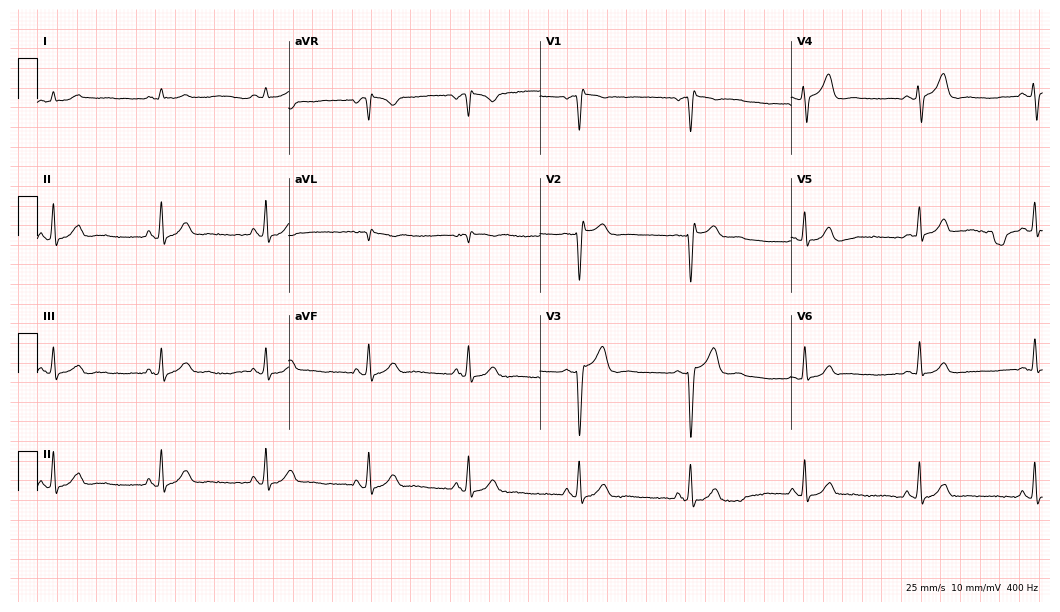
12-lead ECG from a 32-year-old man. No first-degree AV block, right bundle branch block, left bundle branch block, sinus bradycardia, atrial fibrillation or sinus tachycardia recorded for this tracing. Other findings, if any, are not listed.